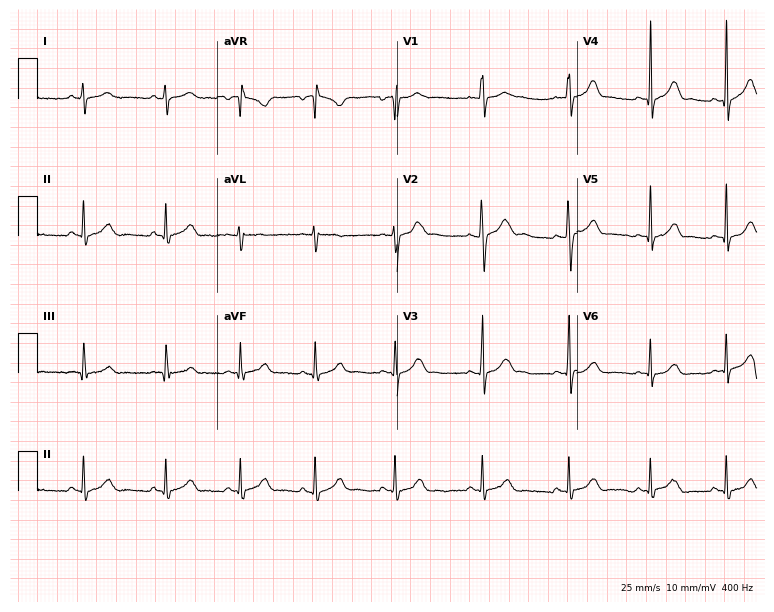
ECG — a 19-year-old female patient. Screened for six findings — first-degree AV block, right bundle branch block, left bundle branch block, sinus bradycardia, atrial fibrillation, sinus tachycardia — none is recorded. Other findings, if any, are not listed.